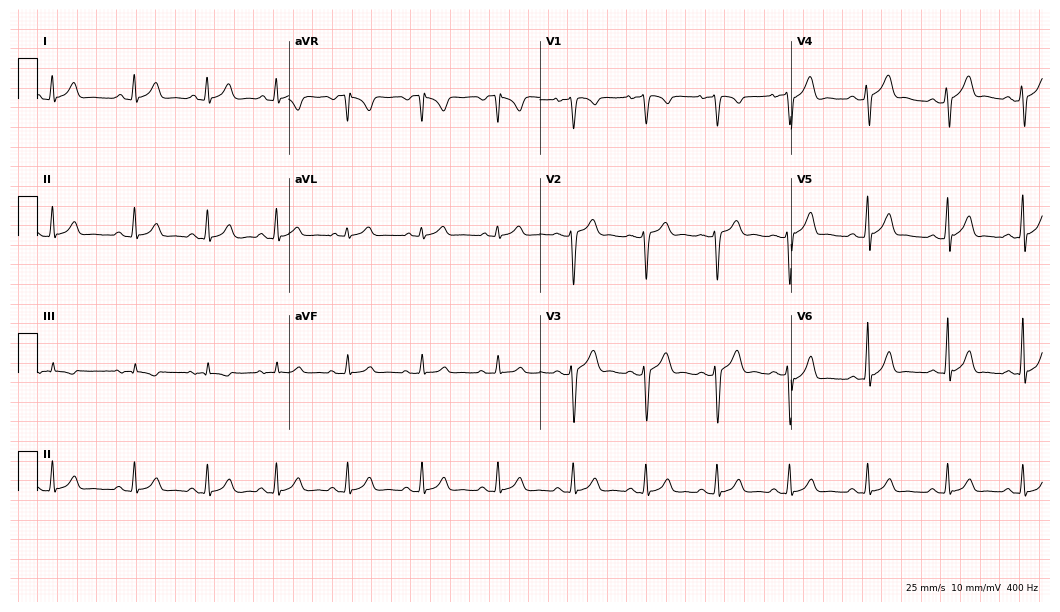
ECG — a male, 22 years old. Labelled as a normal ECG.